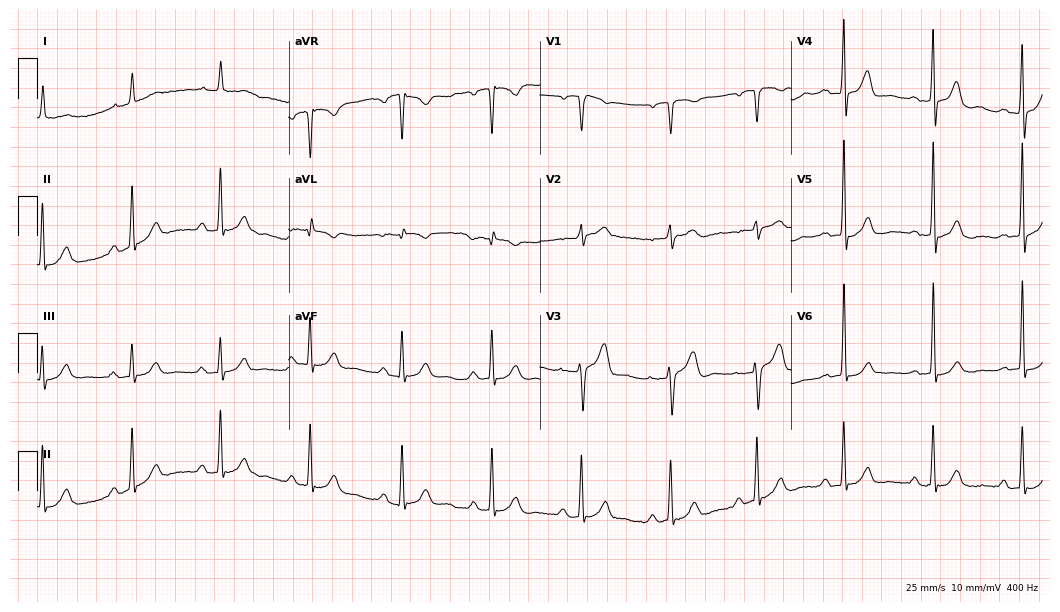
Standard 12-lead ECG recorded from a man, 73 years old (10.2-second recording at 400 Hz). The tracing shows first-degree AV block.